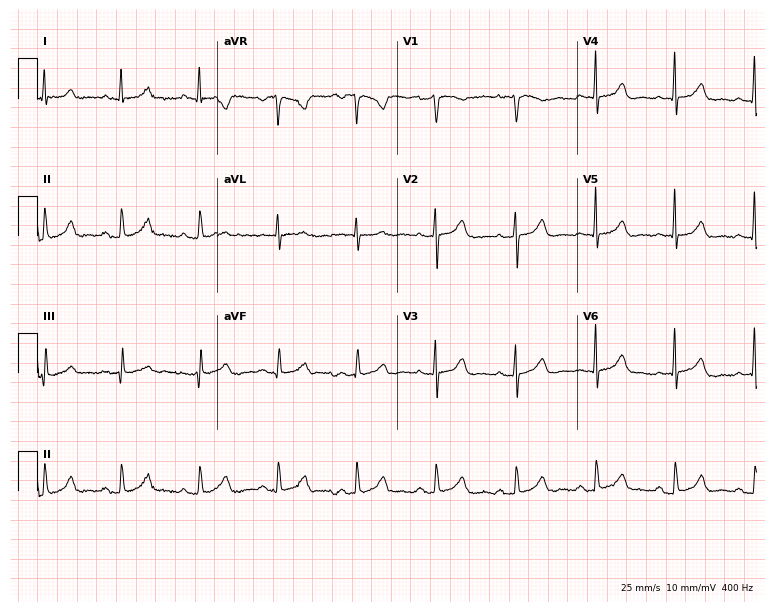
Standard 12-lead ECG recorded from a female patient, 52 years old. Read as a normal ECG.